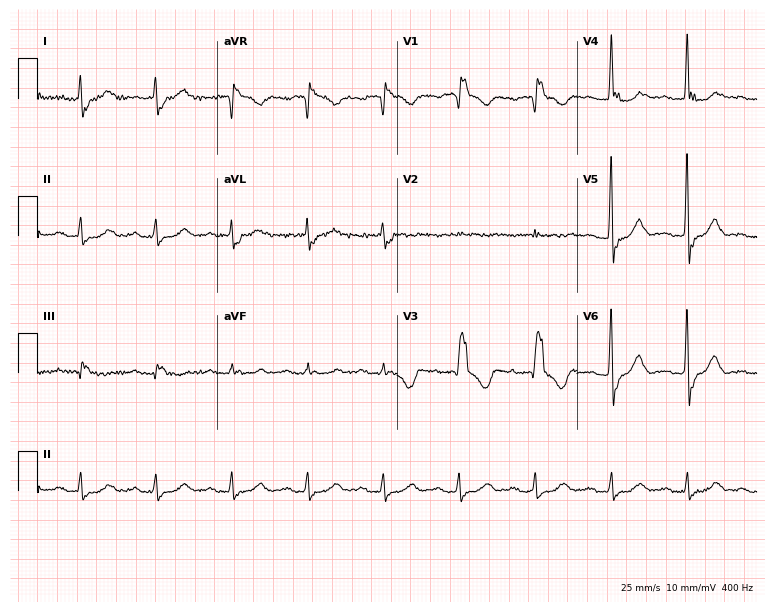
12-lead ECG from a man, 62 years old (7.3-second recording at 400 Hz). No first-degree AV block, right bundle branch block, left bundle branch block, sinus bradycardia, atrial fibrillation or sinus tachycardia recorded for this tracing. Only these six findings were labelled.